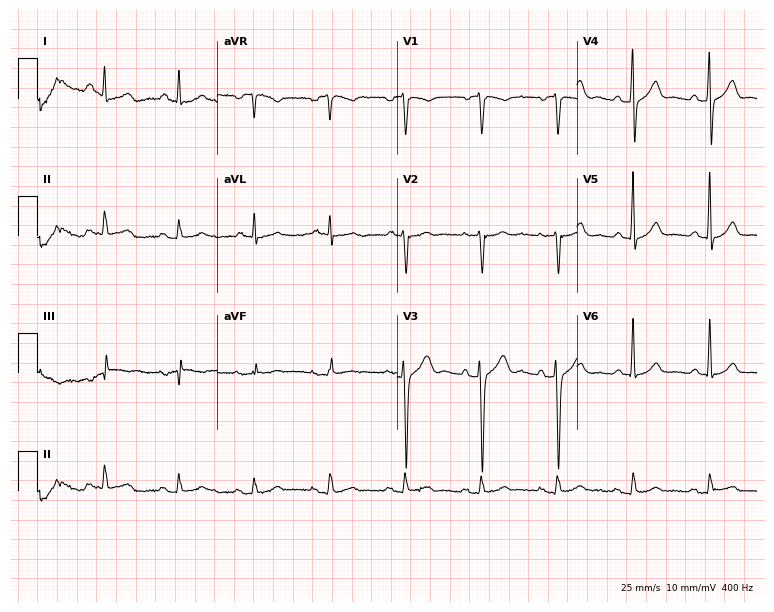
Electrocardiogram (7.3-second recording at 400 Hz), a 64-year-old male. Overall reading on record: normal ECG.